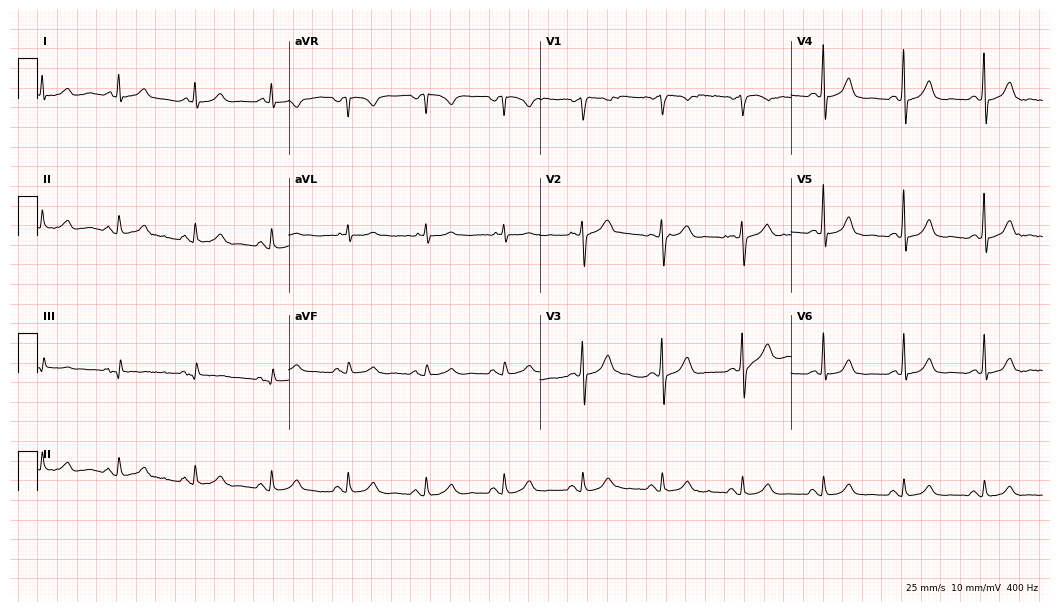
12-lead ECG from a 75-year-old male patient. Labelled as a normal ECG.